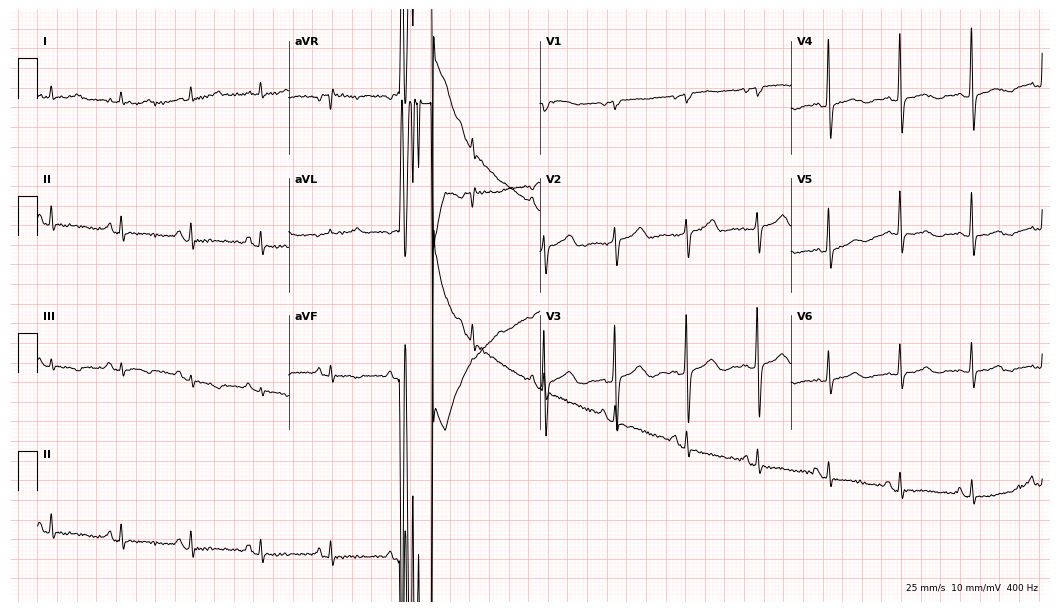
12-lead ECG from a female, 82 years old. No first-degree AV block, right bundle branch block (RBBB), left bundle branch block (LBBB), sinus bradycardia, atrial fibrillation (AF) or sinus tachycardia recorded for this tracing.